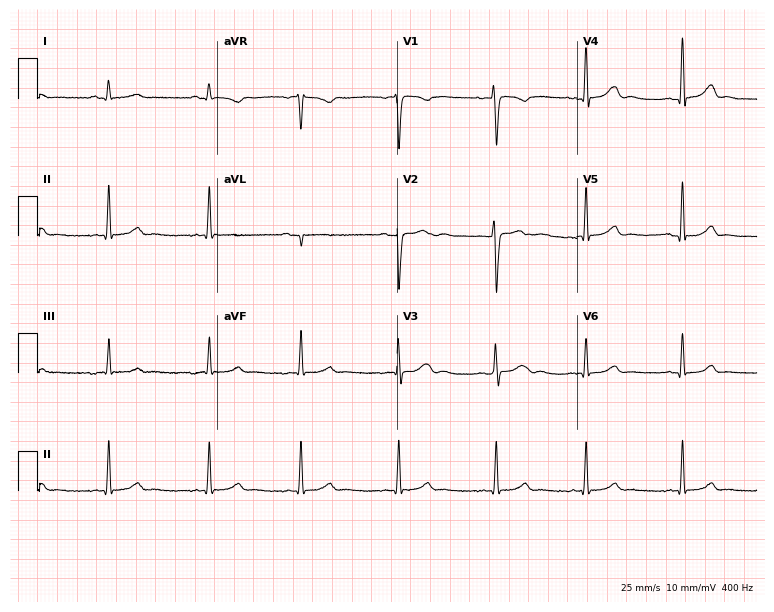
ECG (7.3-second recording at 400 Hz) — a 29-year-old female. Screened for six findings — first-degree AV block, right bundle branch block, left bundle branch block, sinus bradycardia, atrial fibrillation, sinus tachycardia — none is recorded.